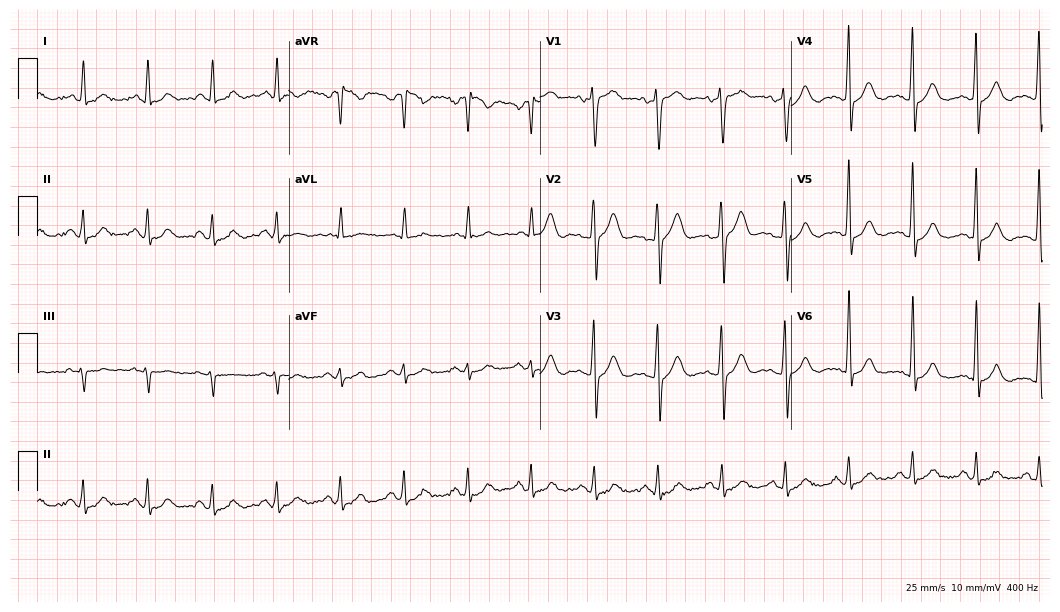
ECG — a man, 60 years old. Labelled as a normal ECG.